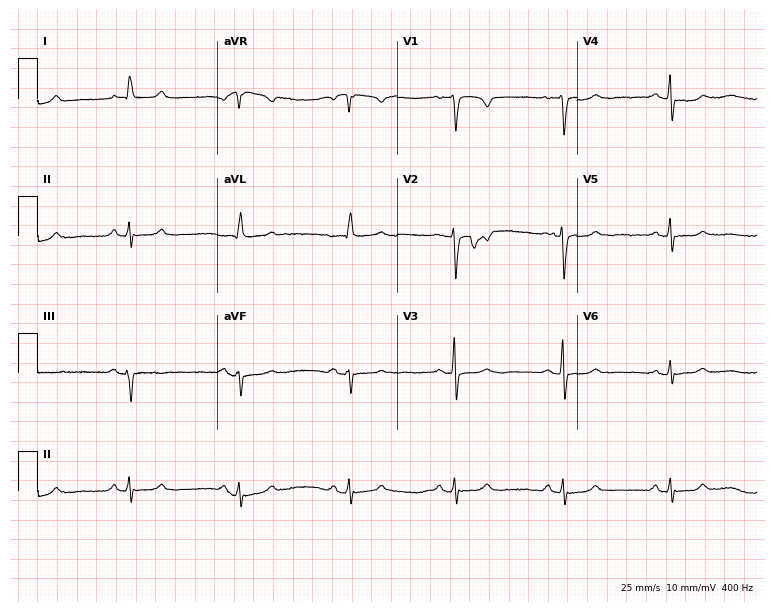
Standard 12-lead ECG recorded from a 76-year-old woman (7.3-second recording at 400 Hz). Read as a normal ECG.